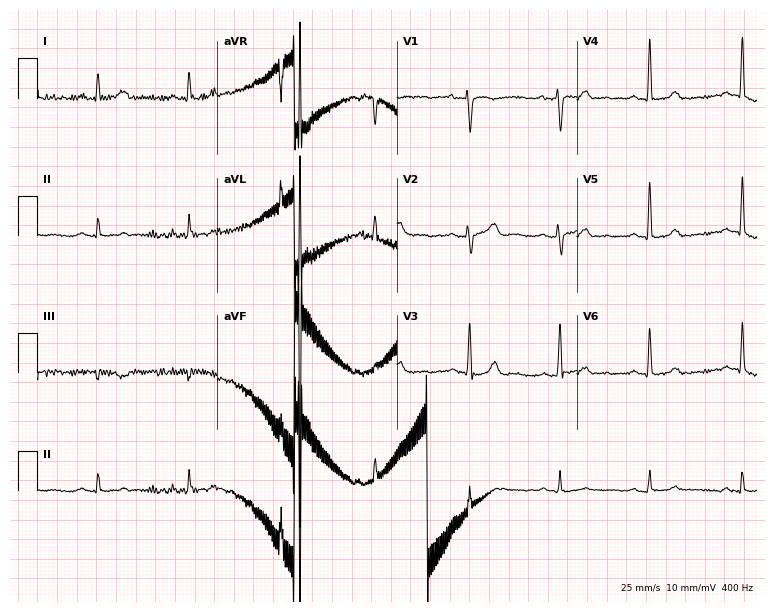
Resting 12-lead electrocardiogram (7.3-second recording at 400 Hz). Patient: a female, 41 years old. None of these six findings is recorded: first-degree AV block, right bundle branch block (RBBB), left bundle branch block (LBBB), sinus bradycardia, atrial fibrillation (AF), sinus tachycardia. Only these six findings were labelled.